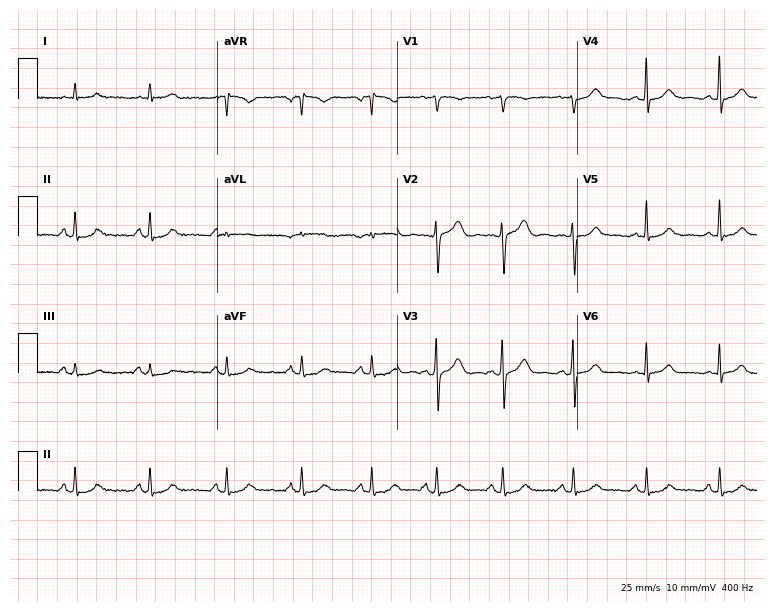
Electrocardiogram (7.3-second recording at 400 Hz), a 24-year-old female patient. Overall reading on record: normal ECG.